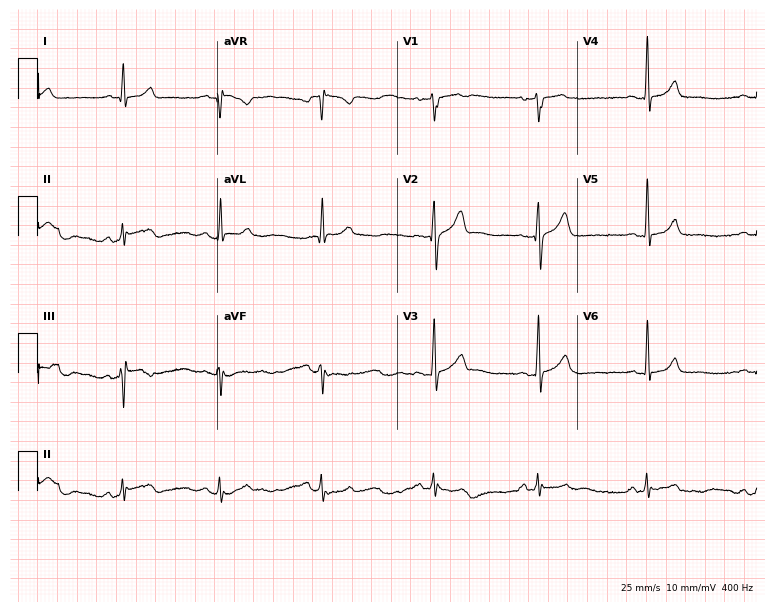
12-lead ECG (7.3-second recording at 400 Hz) from a 22-year-old female. Labelled as a normal ECG.